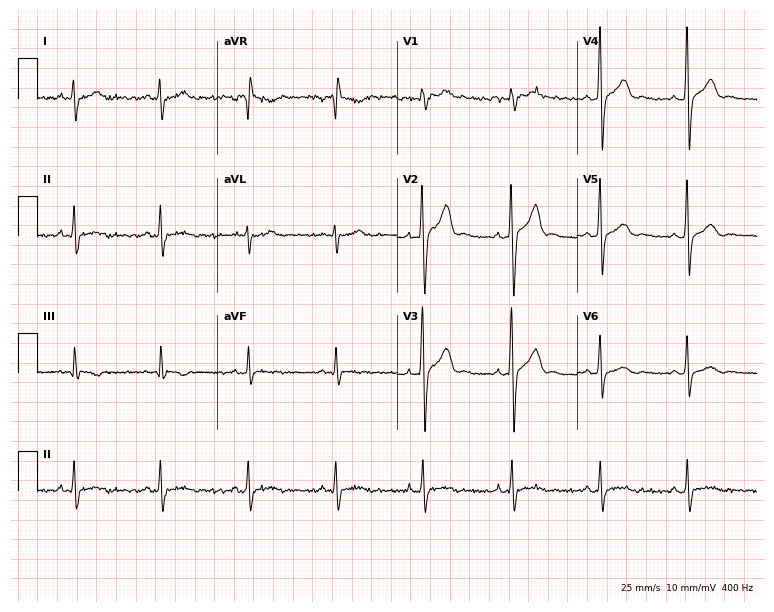
Electrocardiogram, a 32-year-old man. Of the six screened findings (first-degree AV block, right bundle branch block (RBBB), left bundle branch block (LBBB), sinus bradycardia, atrial fibrillation (AF), sinus tachycardia), none is recorded.